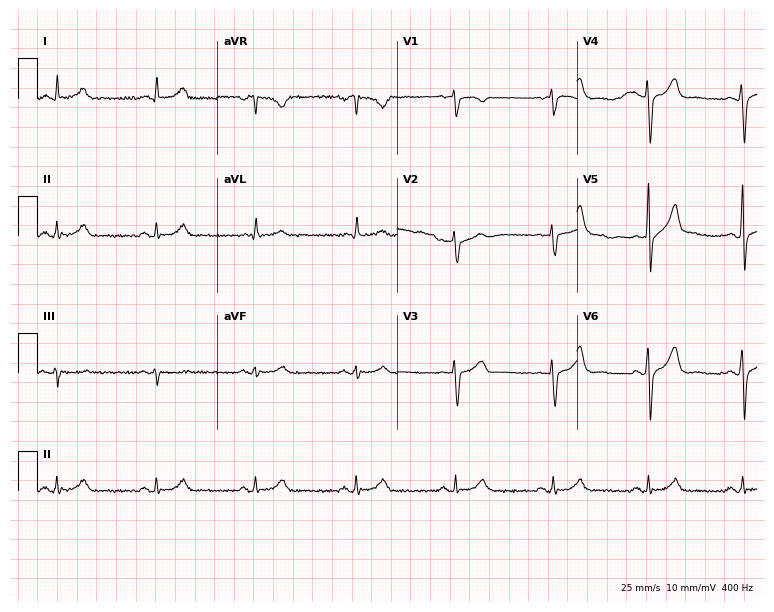
Resting 12-lead electrocardiogram (7.3-second recording at 400 Hz). Patient: a 46-year-old male. Read as a normal ECG.